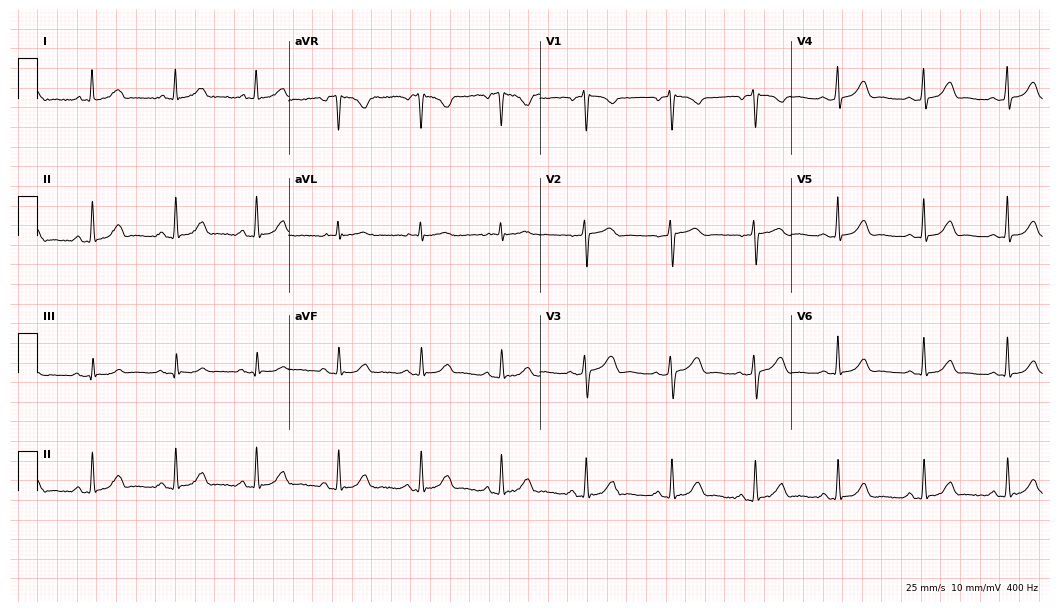
ECG — a 60-year-old female. Labelled as a normal ECG.